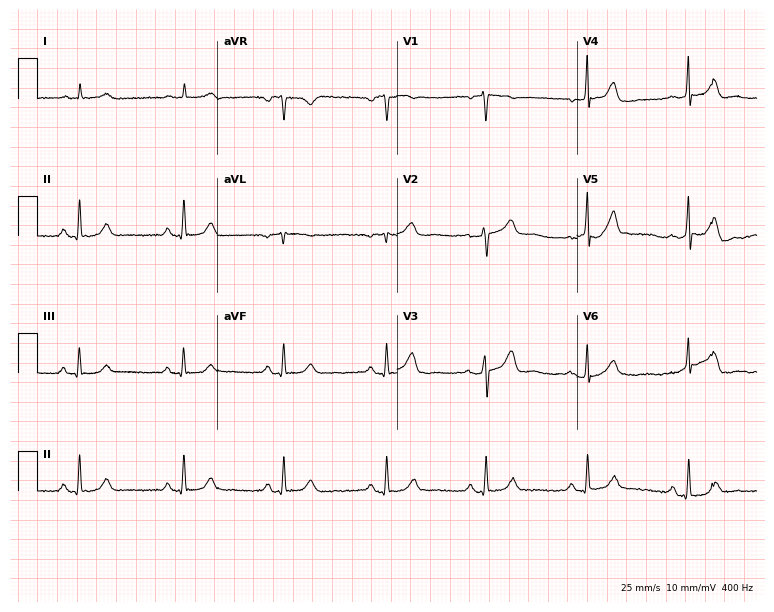
ECG — a male, 64 years old. Labelled as a normal ECG.